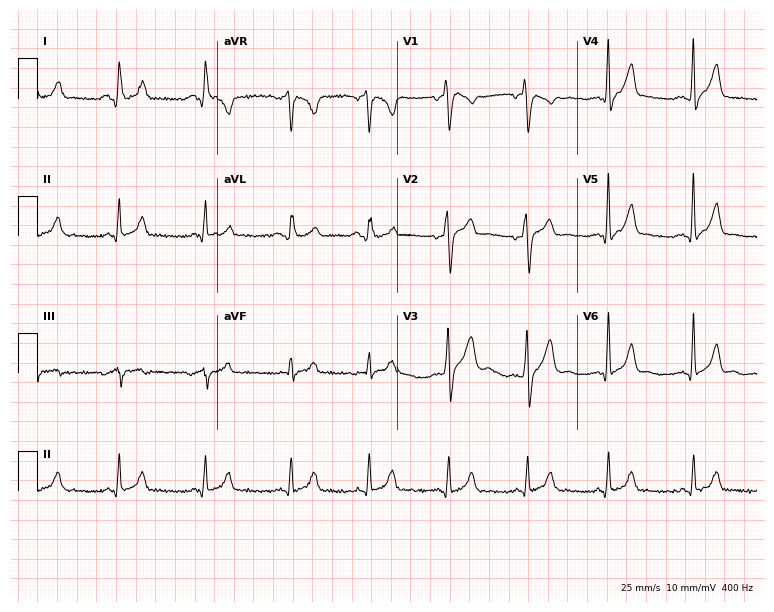
Electrocardiogram, a 31-year-old male patient. Of the six screened findings (first-degree AV block, right bundle branch block (RBBB), left bundle branch block (LBBB), sinus bradycardia, atrial fibrillation (AF), sinus tachycardia), none is recorded.